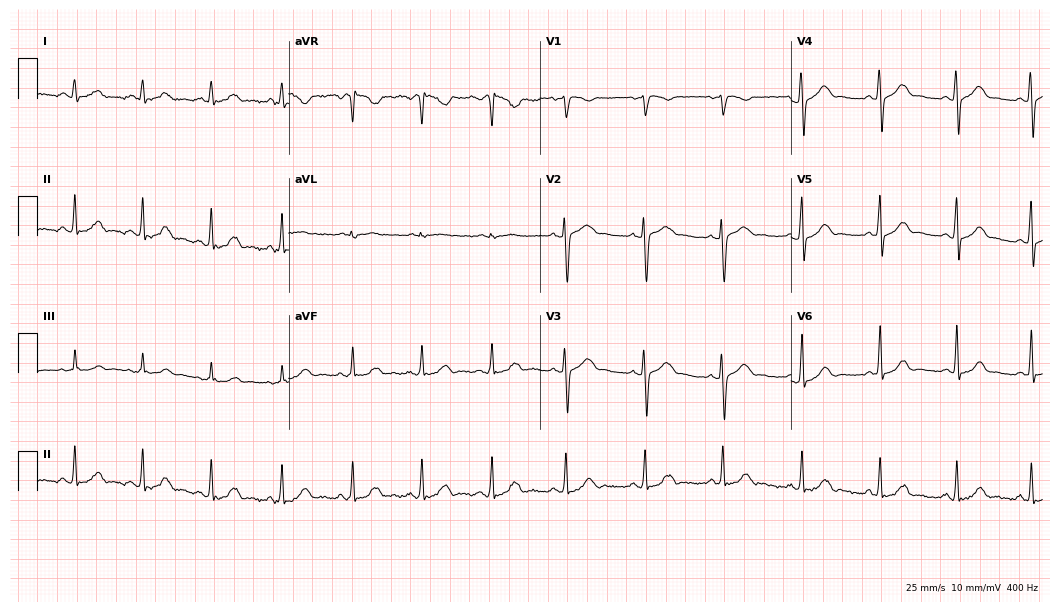
ECG — a 25-year-old female patient. Screened for six findings — first-degree AV block, right bundle branch block, left bundle branch block, sinus bradycardia, atrial fibrillation, sinus tachycardia — none is recorded. Findings outside these six are not listed.